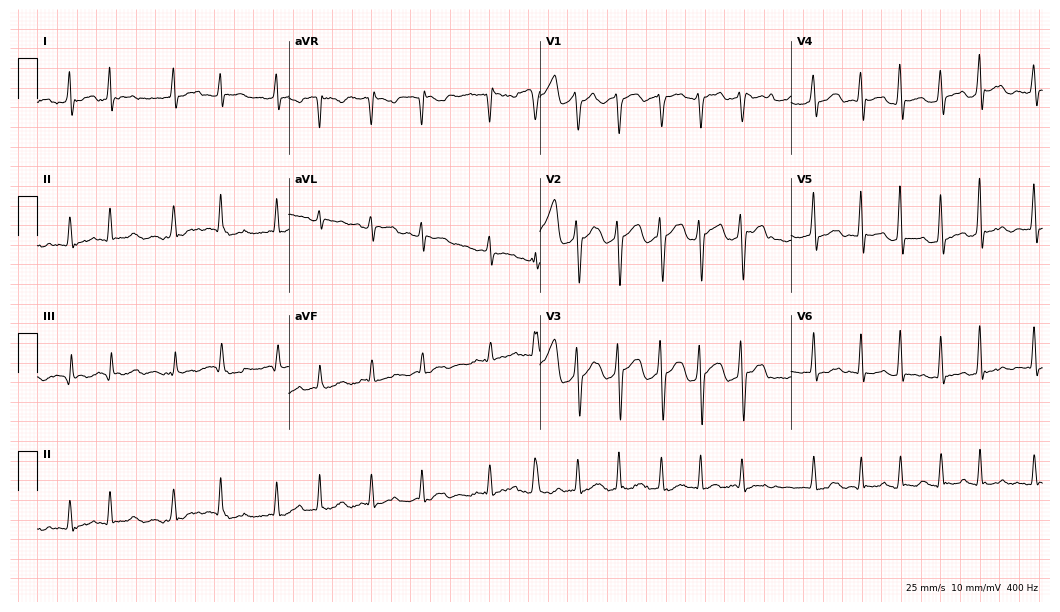
12-lead ECG (10.2-second recording at 400 Hz) from a 38-year-old male. Findings include atrial fibrillation.